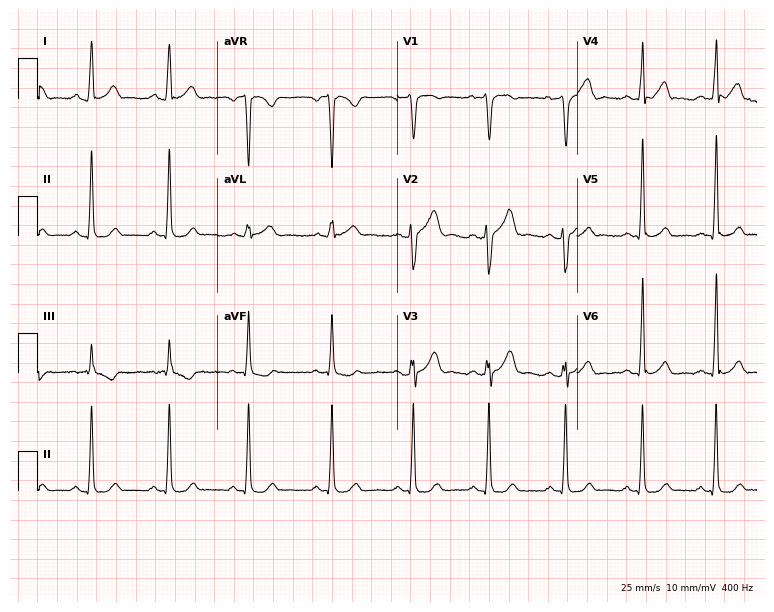
Resting 12-lead electrocardiogram. Patient: a male, 23 years old. Read as a normal ECG.